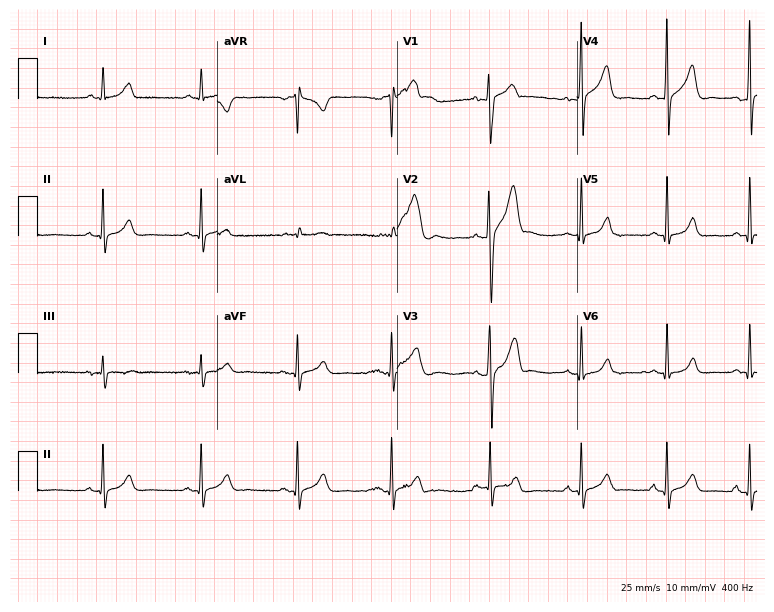
Resting 12-lead electrocardiogram. Patient: a 36-year-old male. Read as a normal ECG.